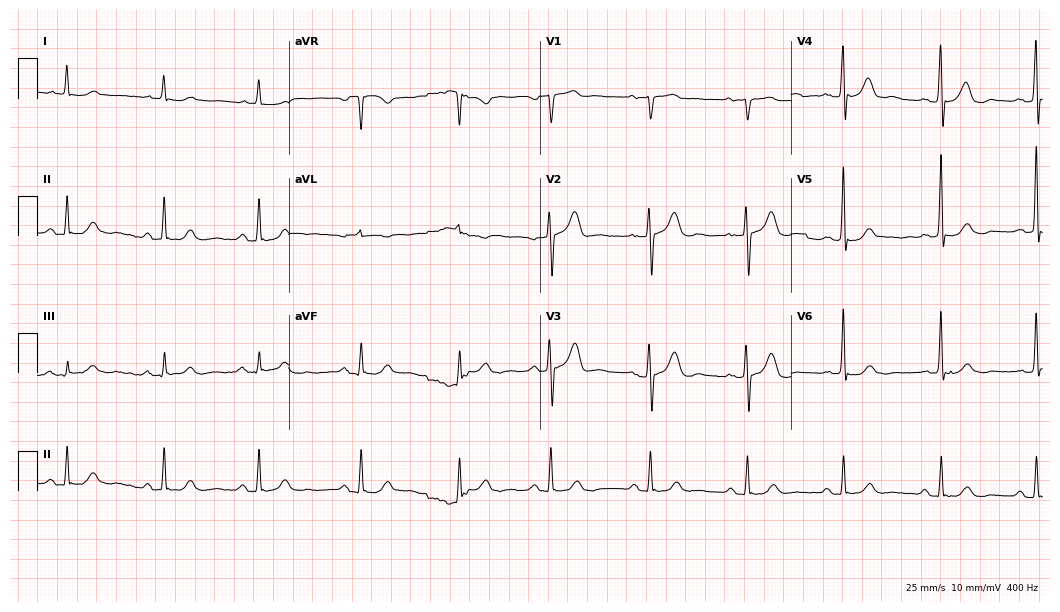
Electrocardiogram (10.2-second recording at 400 Hz), a 68-year-old man. Overall reading on record: normal ECG.